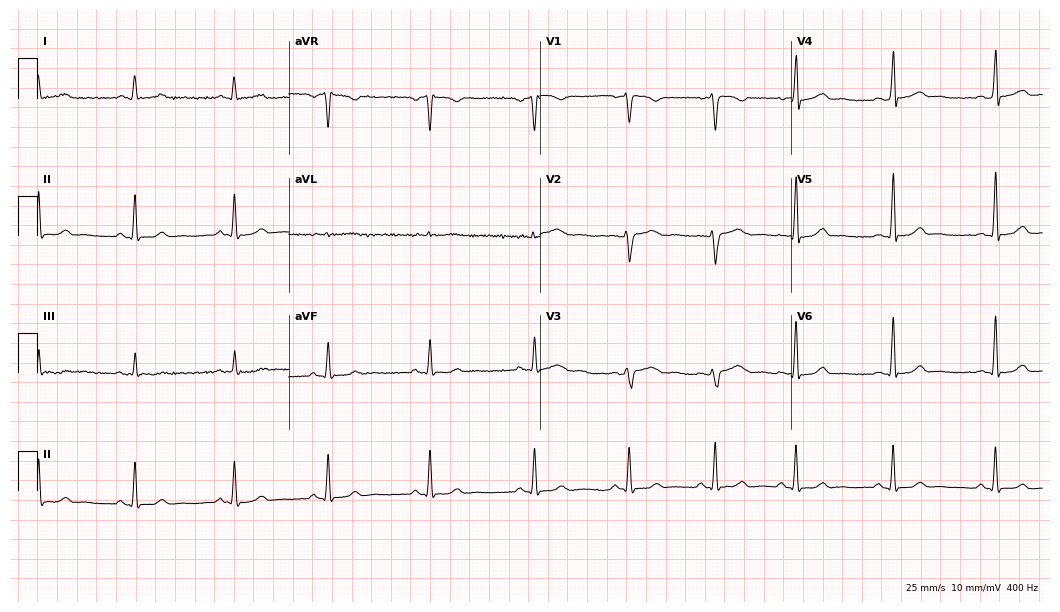
12-lead ECG (10.2-second recording at 400 Hz) from a 42-year-old female patient. Screened for six findings — first-degree AV block, right bundle branch block, left bundle branch block, sinus bradycardia, atrial fibrillation, sinus tachycardia — none is recorded.